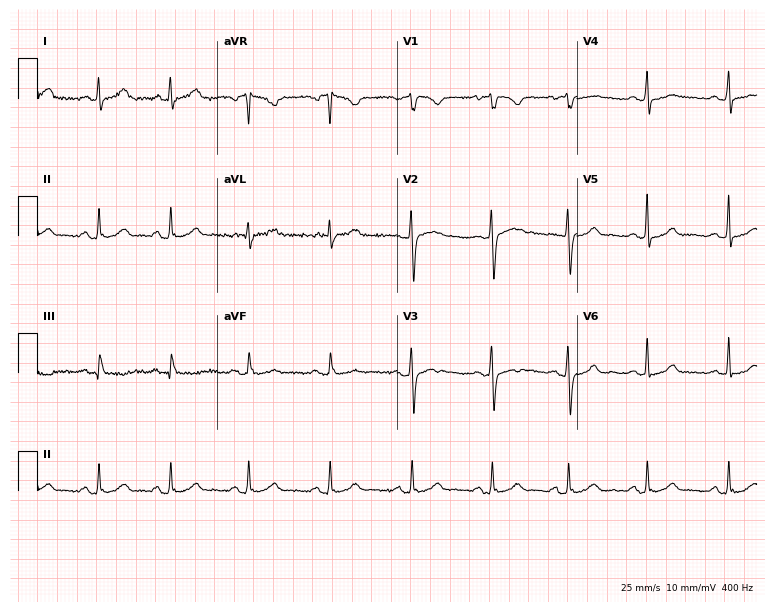
Electrocardiogram, a 29-year-old female. Of the six screened findings (first-degree AV block, right bundle branch block, left bundle branch block, sinus bradycardia, atrial fibrillation, sinus tachycardia), none is recorded.